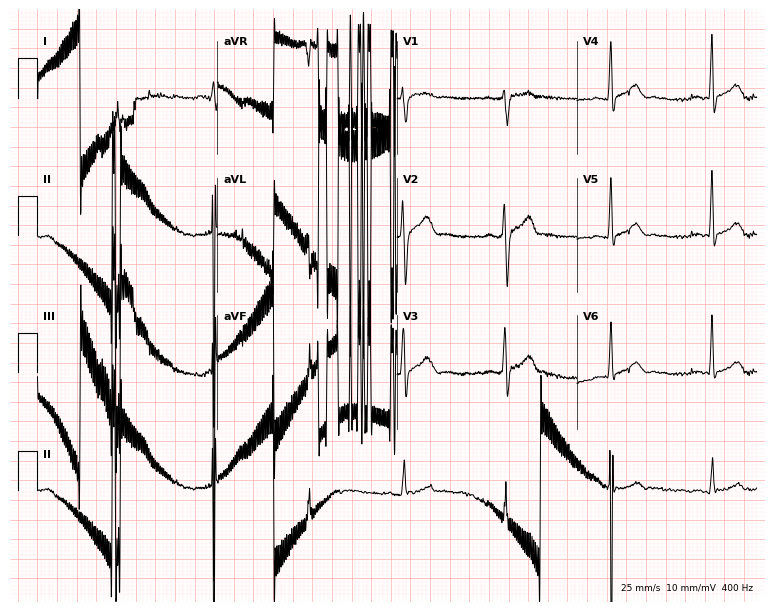
Standard 12-lead ECG recorded from a 30-year-old male (7.3-second recording at 400 Hz). None of these six findings is recorded: first-degree AV block, right bundle branch block, left bundle branch block, sinus bradycardia, atrial fibrillation, sinus tachycardia.